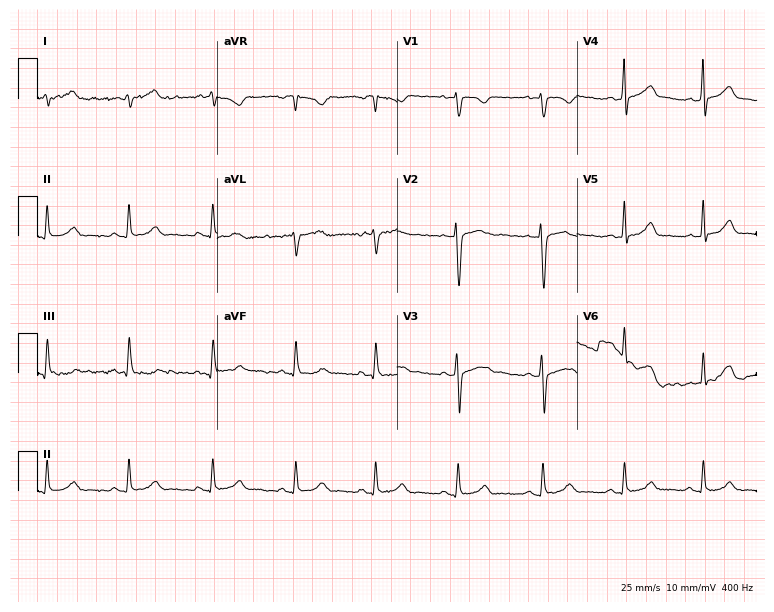
Resting 12-lead electrocardiogram. Patient: a female, 22 years old. None of these six findings is recorded: first-degree AV block, right bundle branch block, left bundle branch block, sinus bradycardia, atrial fibrillation, sinus tachycardia. Only these six findings were labelled.